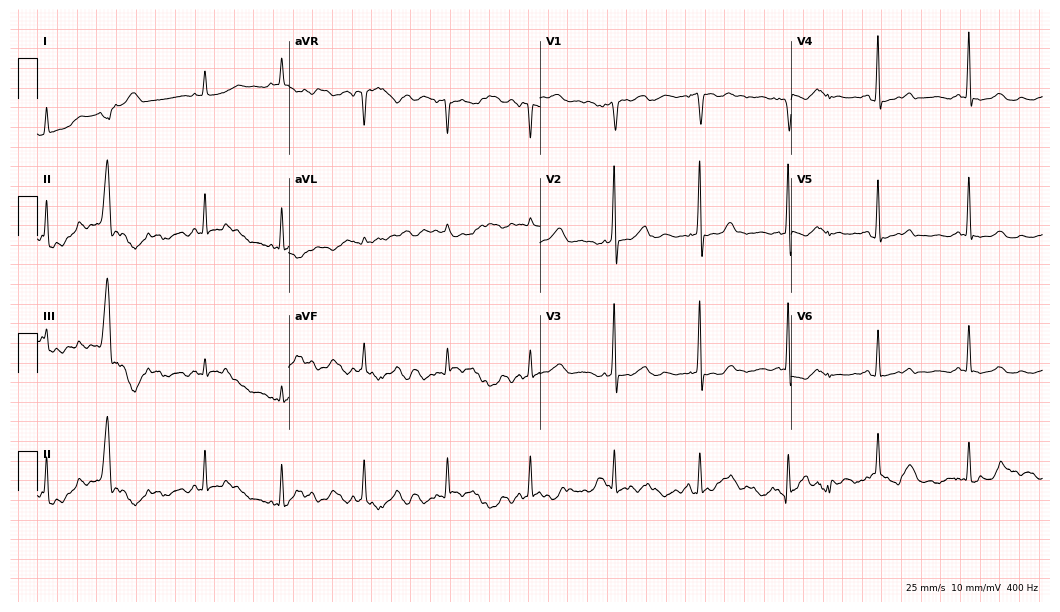
12-lead ECG from a 59-year-old female patient (10.2-second recording at 400 Hz). No first-degree AV block, right bundle branch block, left bundle branch block, sinus bradycardia, atrial fibrillation or sinus tachycardia recorded for this tracing.